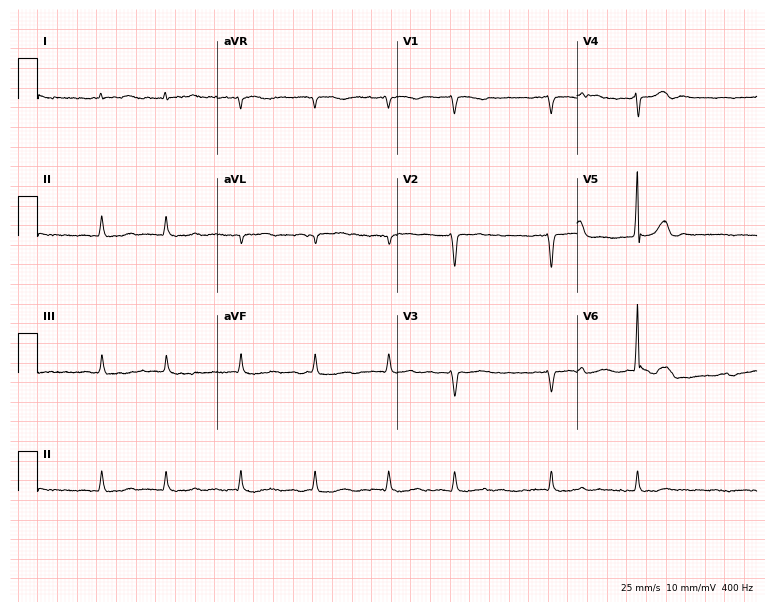
Resting 12-lead electrocardiogram (7.3-second recording at 400 Hz). Patient: a 69-year-old male. The tracing shows atrial fibrillation.